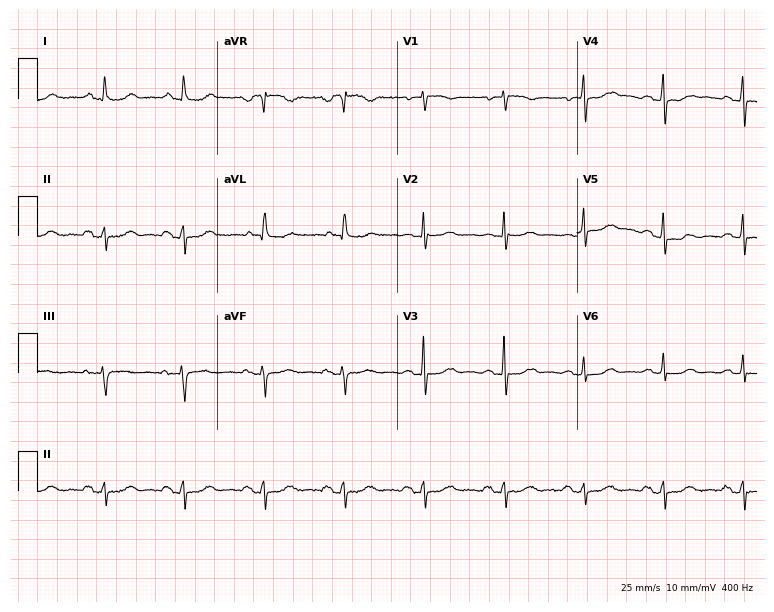
Standard 12-lead ECG recorded from a woman, 72 years old. None of these six findings is recorded: first-degree AV block, right bundle branch block (RBBB), left bundle branch block (LBBB), sinus bradycardia, atrial fibrillation (AF), sinus tachycardia. Findings outside these six are not listed.